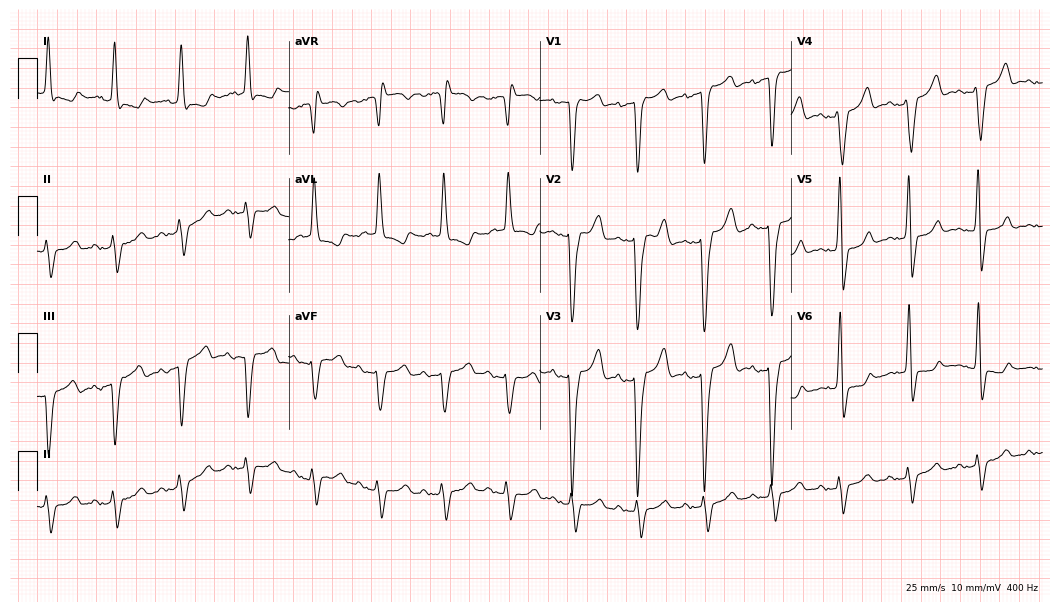
Electrocardiogram (10.2-second recording at 400 Hz), a male patient, 82 years old. Of the six screened findings (first-degree AV block, right bundle branch block, left bundle branch block, sinus bradycardia, atrial fibrillation, sinus tachycardia), none is recorded.